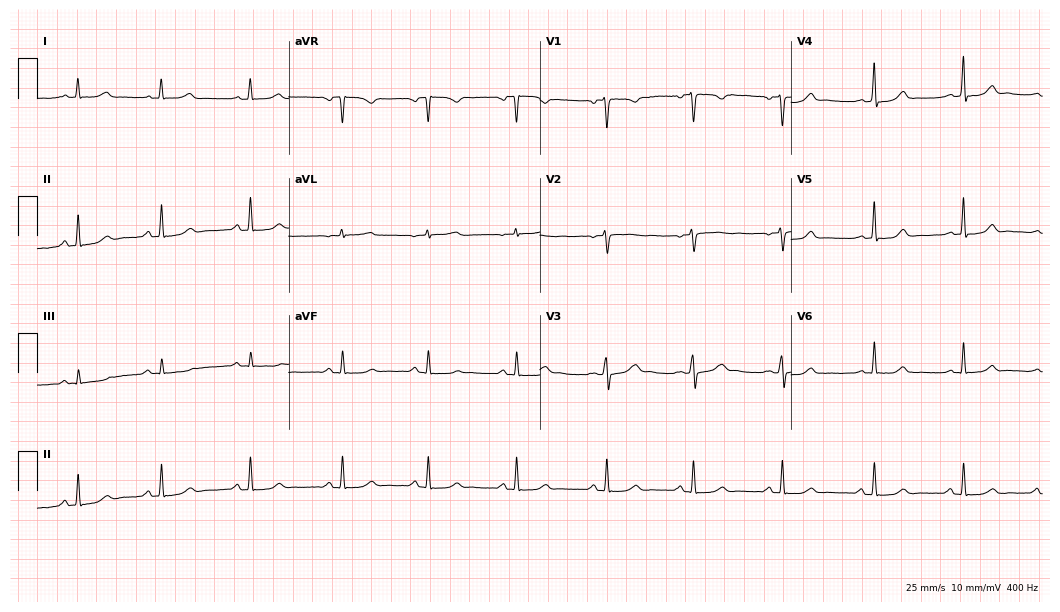
Resting 12-lead electrocardiogram. Patient: a female, 31 years old. Read as a normal ECG.